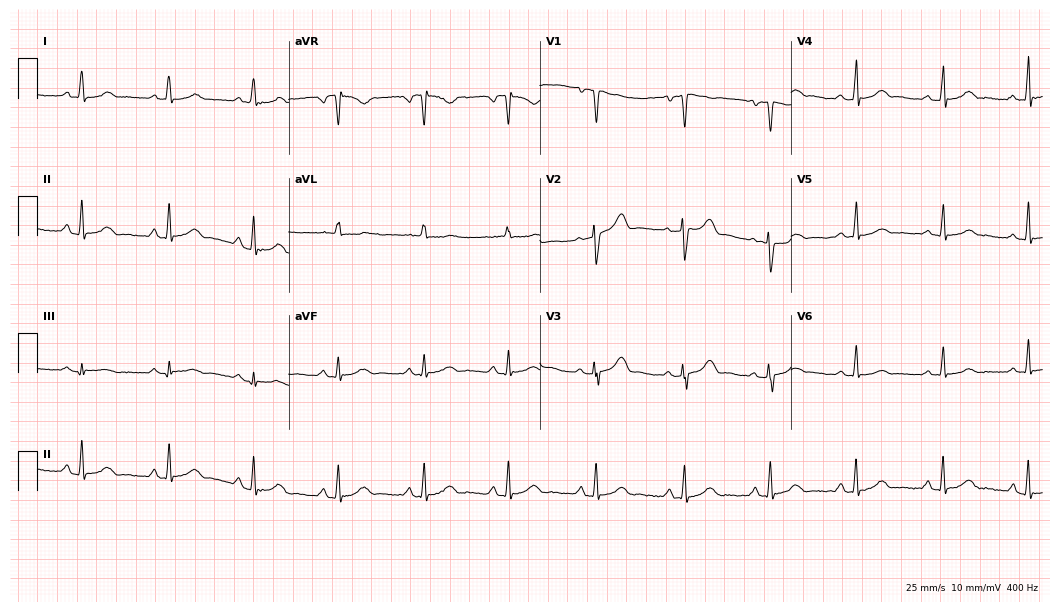
Resting 12-lead electrocardiogram. Patient: a 50-year-old female. None of these six findings is recorded: first-degree AV block, right bundle branch block (RBBB), left bundle branch block (LBBB), sinus bradycardia, atrial fibrillation (AF), sinus tachycardia.